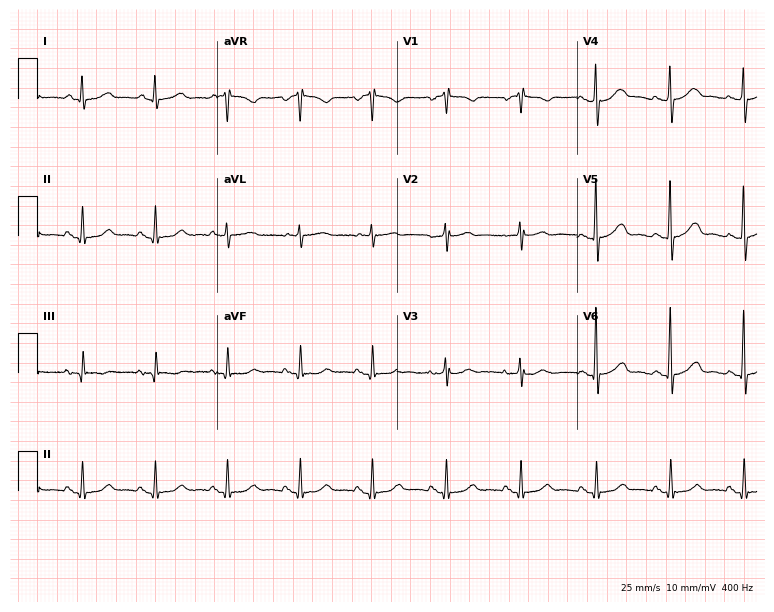
12-lead ECG from a 62-year-old female patient (7.3-second recording at 400 Hz). No first-degree AV block, right bundle branch block (RBBB), left bundle branch block (LBBB), sinus bradycardia, atrial fibrillation (AF) or sinus tachycardia recorded for this tracing.